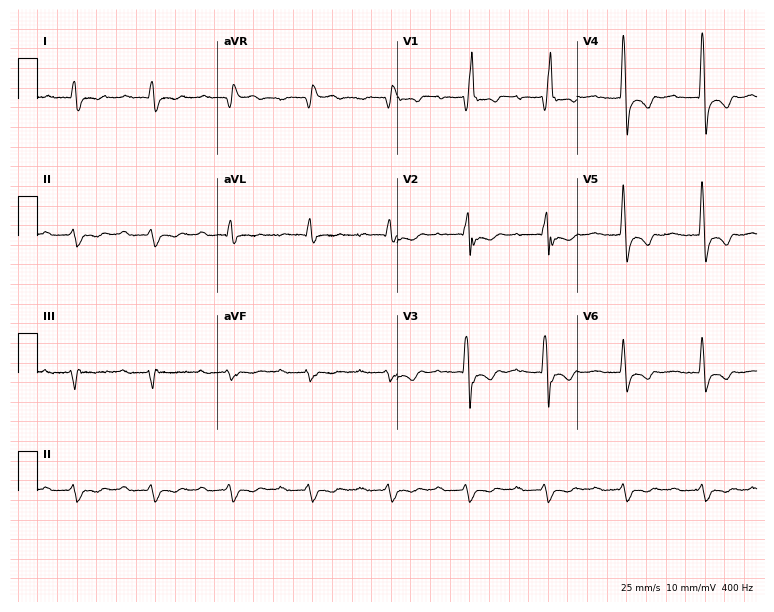
ECG — a female patient, 83 years old. Findings include first-degree AV block, right bundle branch block.